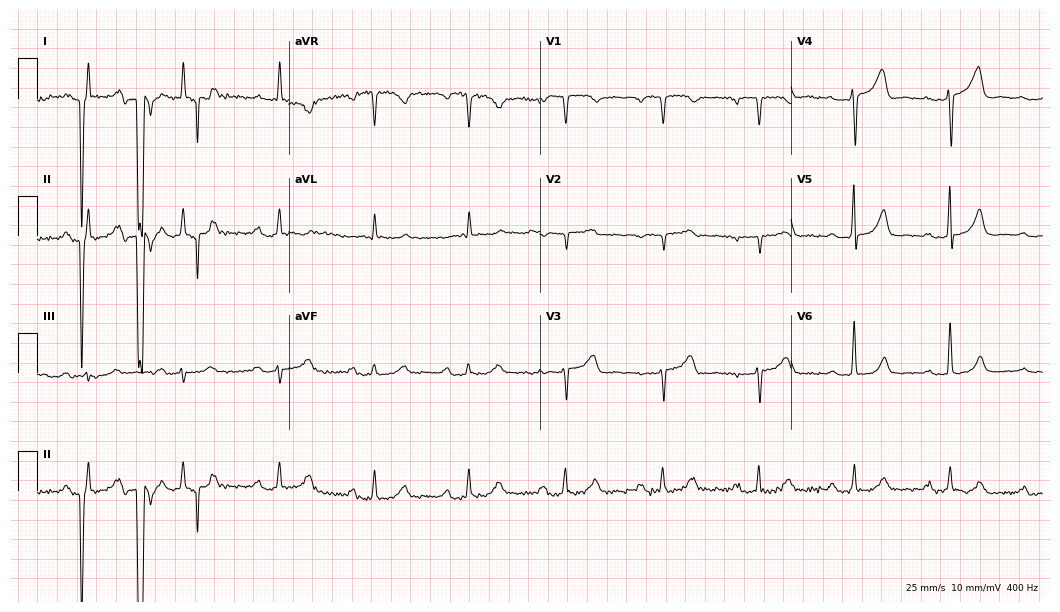
Resting 12-lead electrocardiogram. Patient: a male, 69 years old. The tracing shows first-degree AV block.